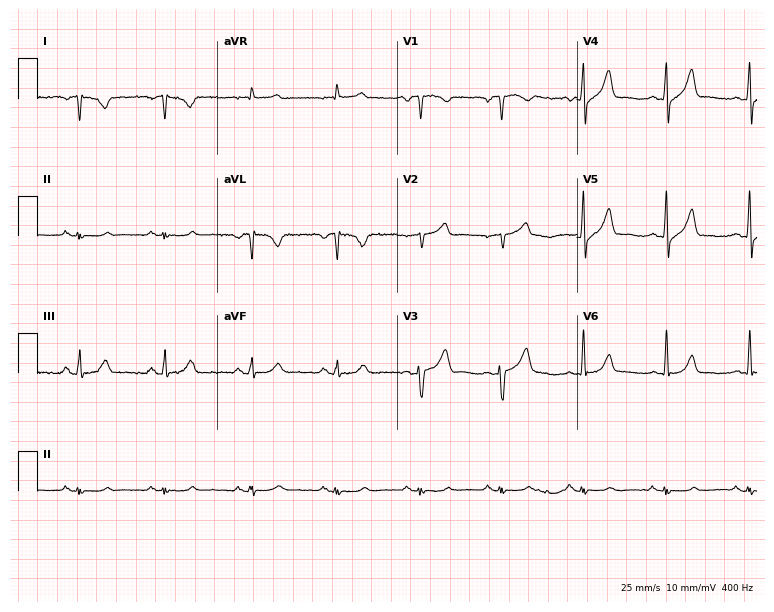
12-lead ECG (7.3-second recording at 400 Hz) from a male patient, 48 years old. Screened for six findings — first-degree AV block, right bundle branch block, left bundle branch block, sinus bradycardia, atrial fibrillation, sinus tachycardia — none is recorded. Findings outside these six are not listed.